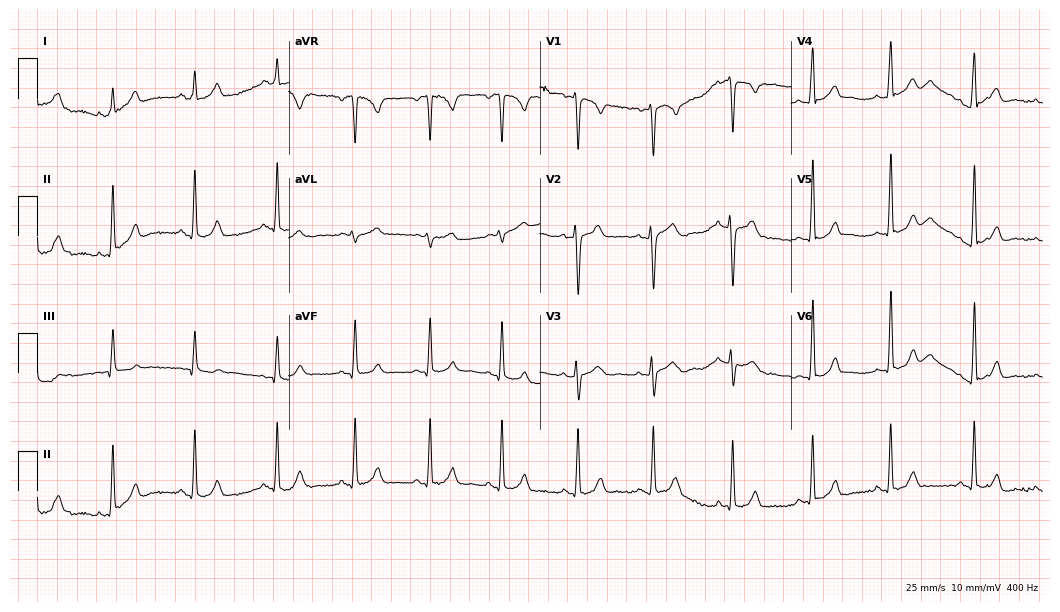
ECG — a 20-year-old female. Screened for six findings — first-degree AV block, right bundle branch block, left bundle branch block, sinus bradycardia, atrial fibrillation, sinus tachycardia — none is recorded.